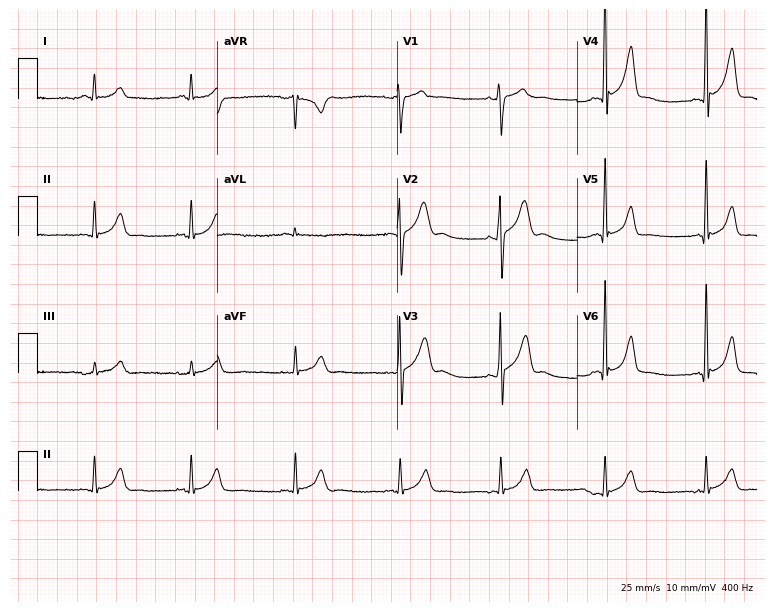
Standard 12-lead ECG recorded from a 41-year-old man (7.3-second recording at 400 Hz). Read as a normal ECG.